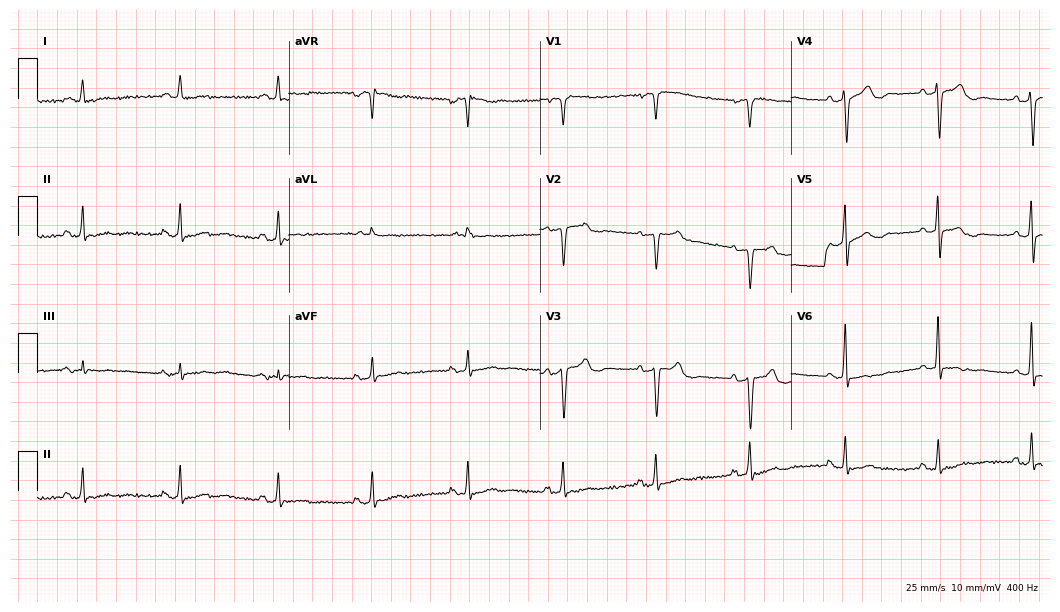
12-lead ECG (10.2-second recording at 400 Hz) from a 78-year-old woman. Screened for six findings — first-degree AV block, right bundle branch block (RBBB), left bundle branch block (LBBB), sinus bradycardia, atrial fibrillation (AF), sinus tachycardia — none is recorded.